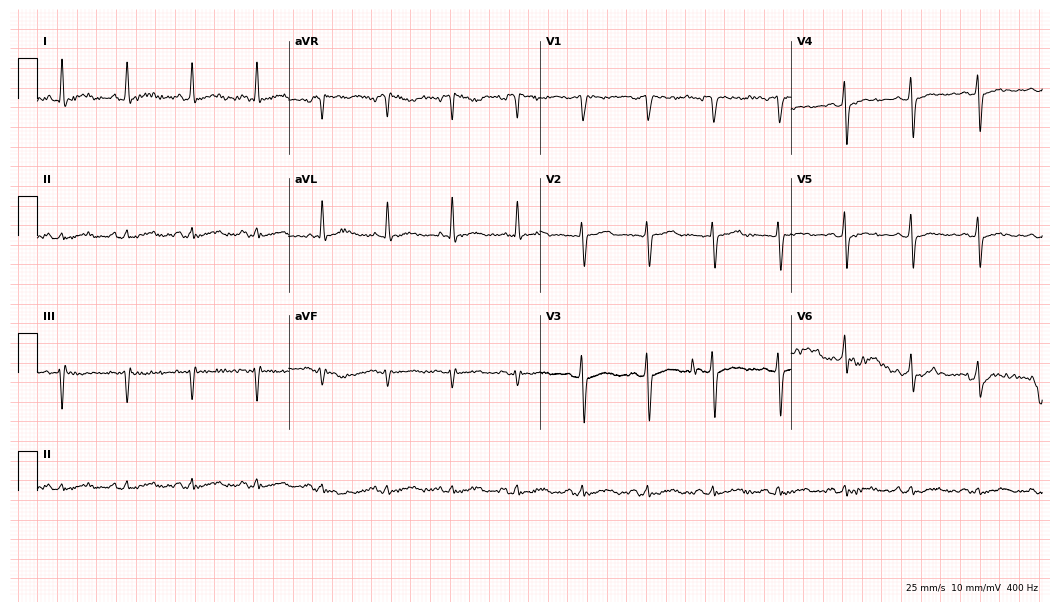
Resting 12-lead electrocardiogram (10.2-second recording at 400 Hz). Patient: a woman, 50 years old. Read as a normal ECG.